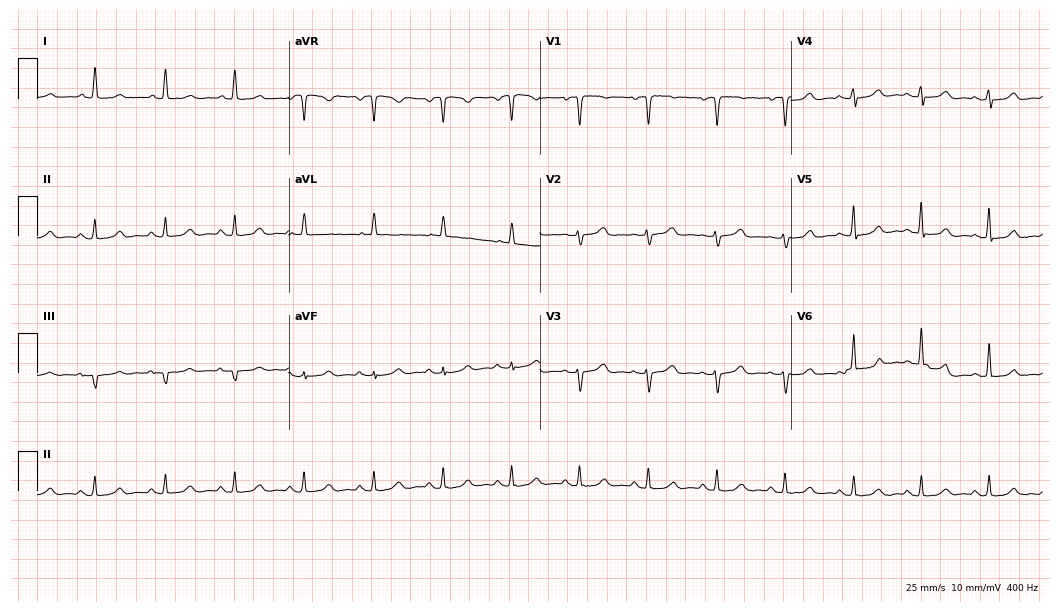
12-lead ECG (10.2-second recording at 400 Hz) from a woman, 67 years old. Labelled as a normal ECG.